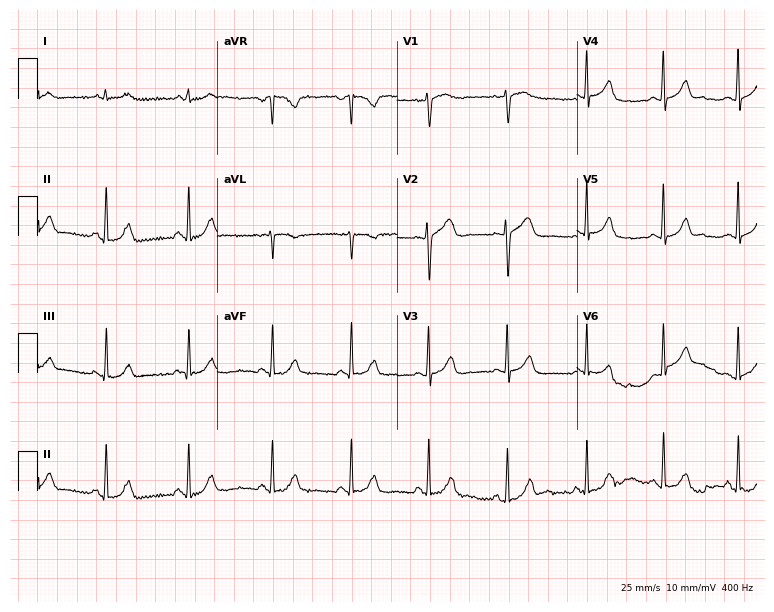
ECG (7.3-second recording at 400 Hz) — a 39-year-old female patient. Labelled as a normal ECG.